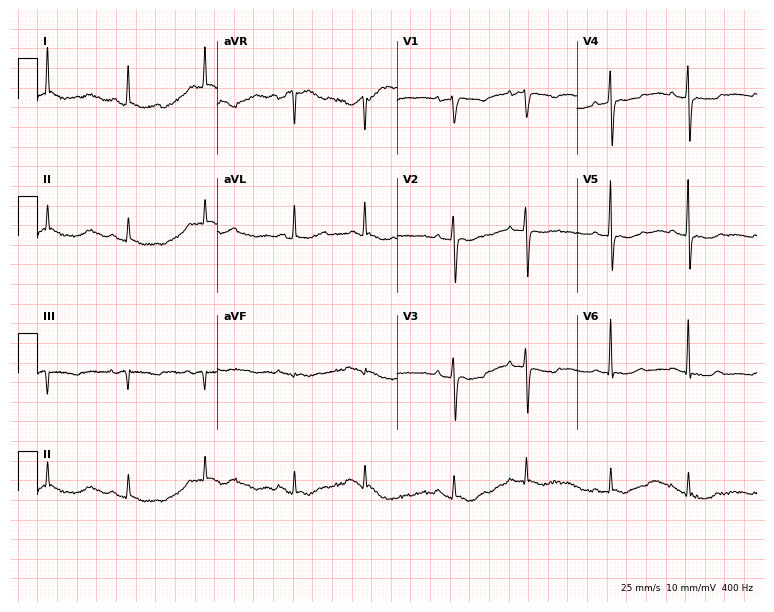
Resting 12-lead electrocardiogram (7.3-second recording at 400 Hz). Patient: an 84-year-old woman. None of these six findings is recorded: first-degree AV block, right bundle branch block, left bundle branch block, sinus bradycardia, atrial fibrillation, sinus tachycardia.